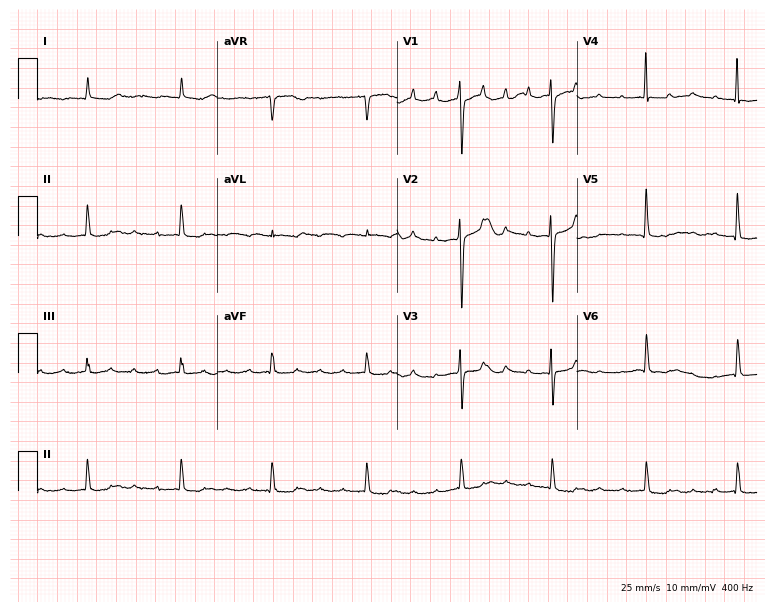
Standard 12-lead ECG recorded from an 82-year-old woman. None of these six findings is recorded: first-degree AV block, right bundle branch block (RBBB), left bundle branch block (LBBB), sinus bradycardia, atrial fibrillation (AF), sinus tachycardia.